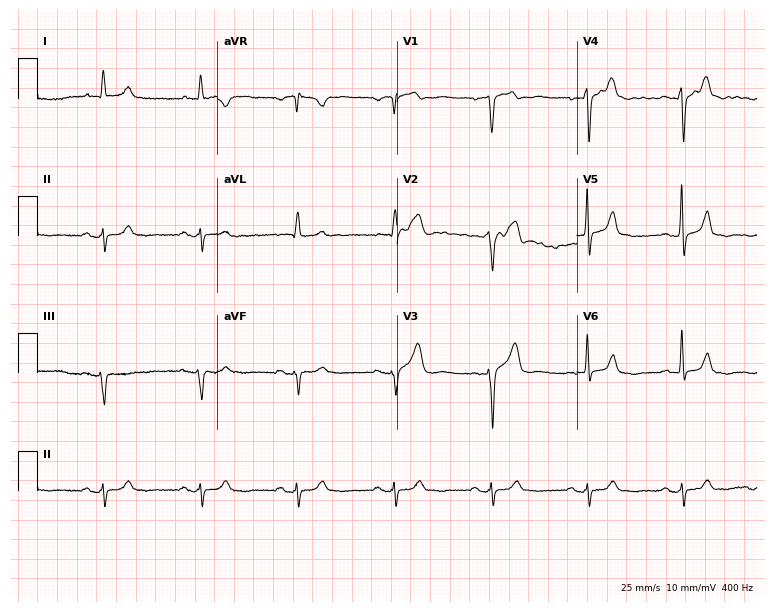
ECG (7.3-second recording at 400 Hz) — an 81-year-old male patient. Screened for six findings — first-degree AV block, right bundle branch block, left bundle branch block, sinus bradycardia, atrial fibrillation, sinus tachycardia — none is recorded.